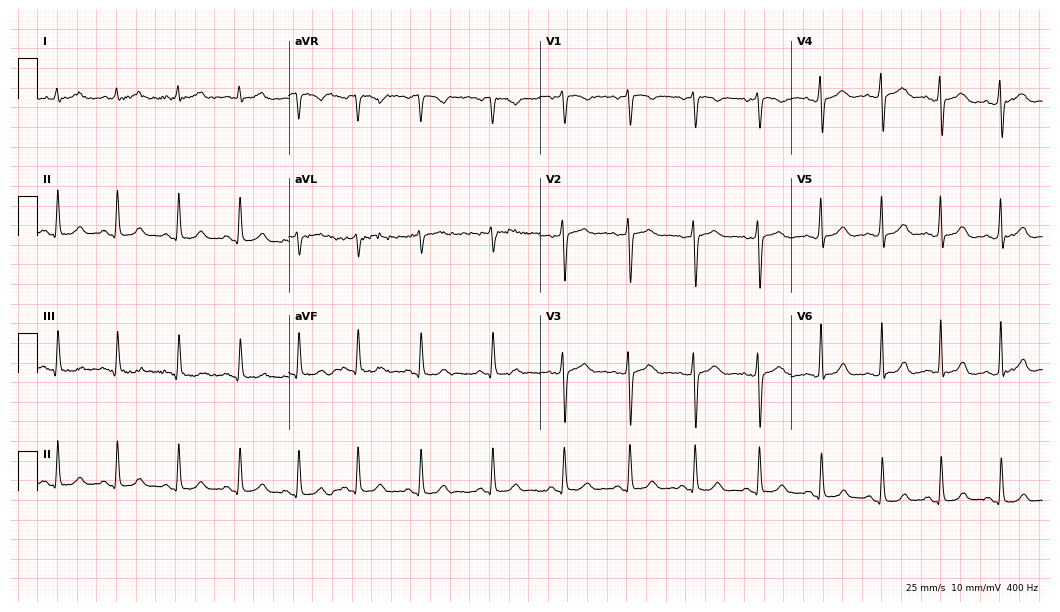
ECG — a 46-year-old woman. Labelled as a normal ECG.